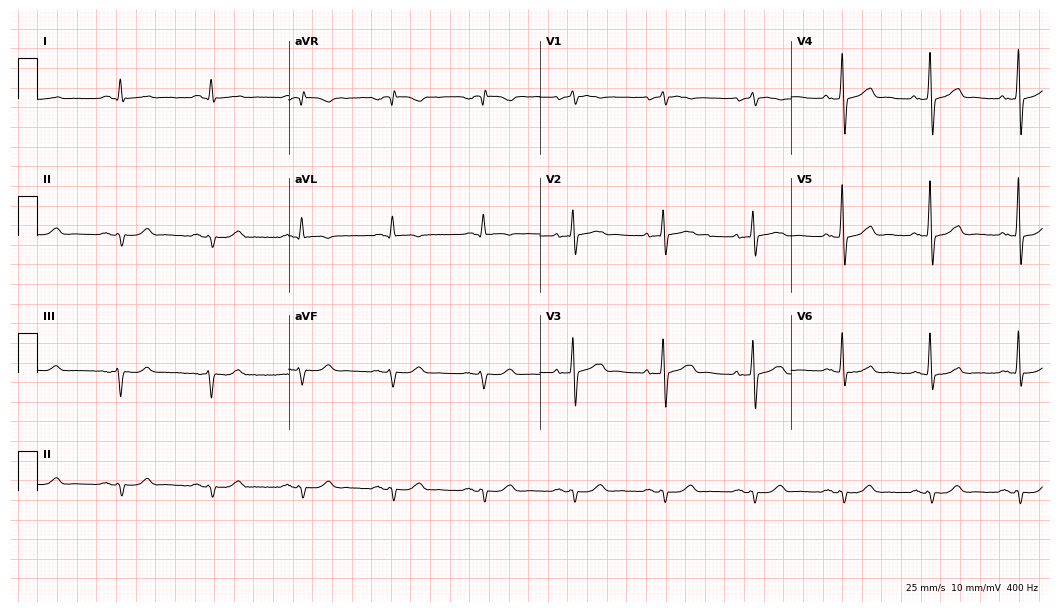
12-lead ECG from a male, 71 years old. No first-degree AV block, right bundle branch block, left bundle branch block, sinus bradycardia, atrial fibrillation or sinus tachycardia recorded for this tracing.